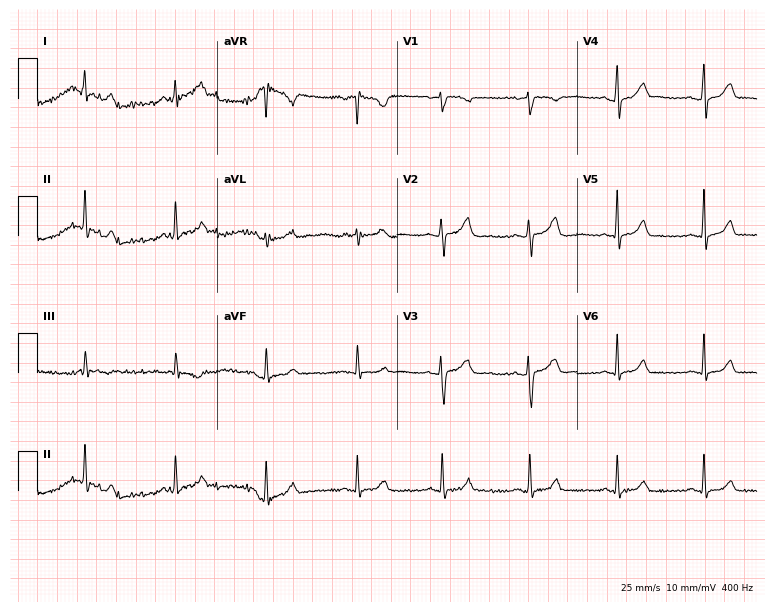
Resting 12-lead electrocardiogram (7.3-second recording at 400 Hz). Patient: a woman, 36 years old. Read as a normal ECG.